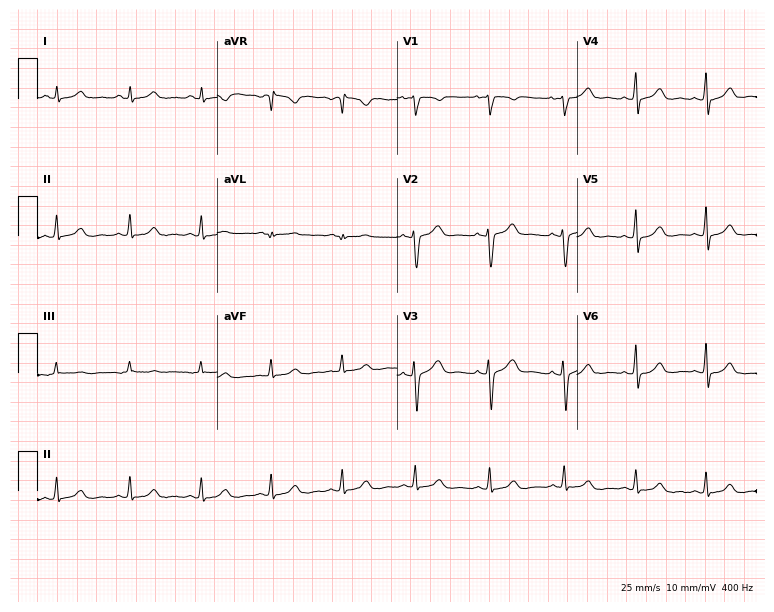
12-lead ECG from a woman, 28 years old (7.3-second recording at 400 Hz). No first-degree AV block, right bundle branch block, left bundle branch block, sinus bradycardia, atrial fibrillation or sinus tachycardia recorded for this tracing. Findings outside these six are not listed.